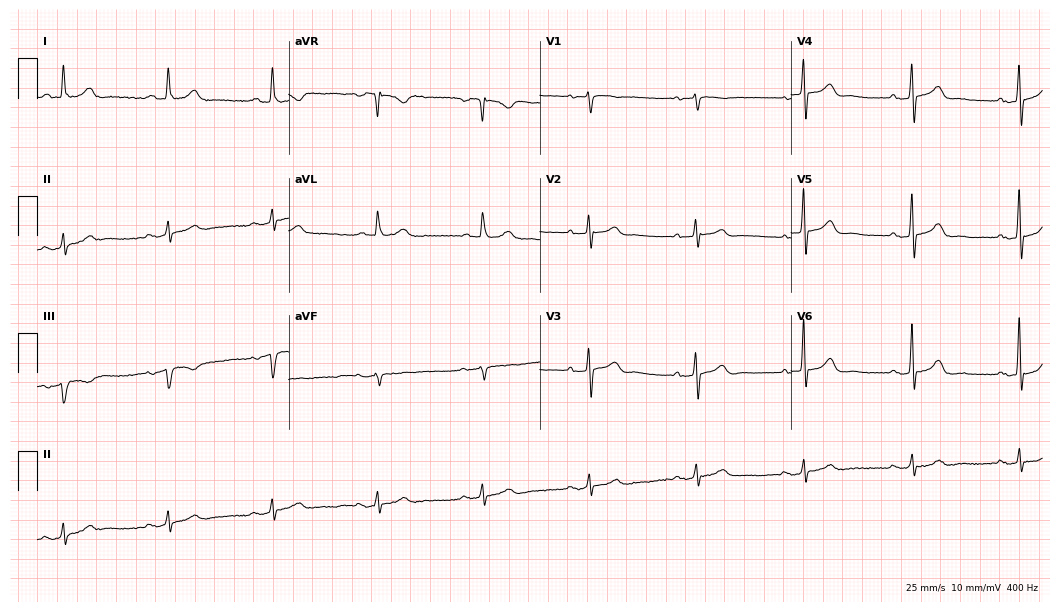
Resting 12-lead electrocardiogram (10.2-second recording at 400 Hz). Patient: a male, 74 years old. Read as a normal ECG.